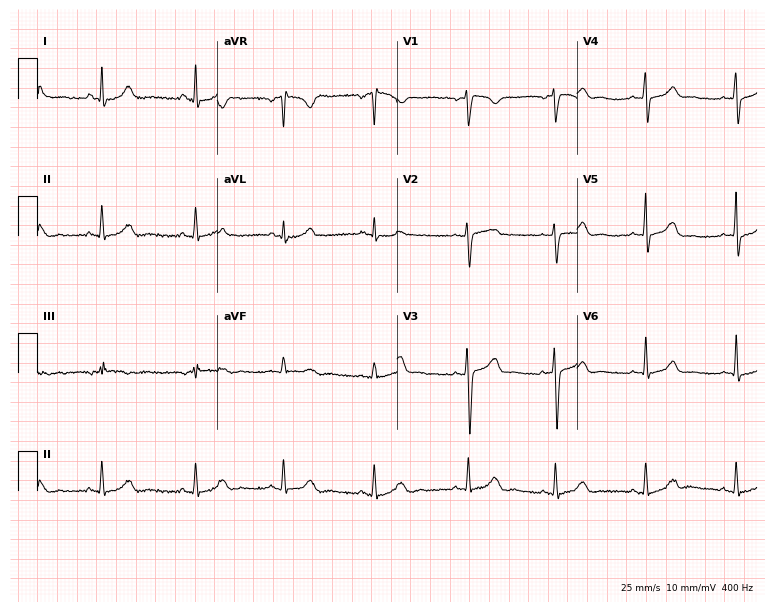
12-lead ECG from a 40-year-old female. Recorded interpretation: within normal limits.